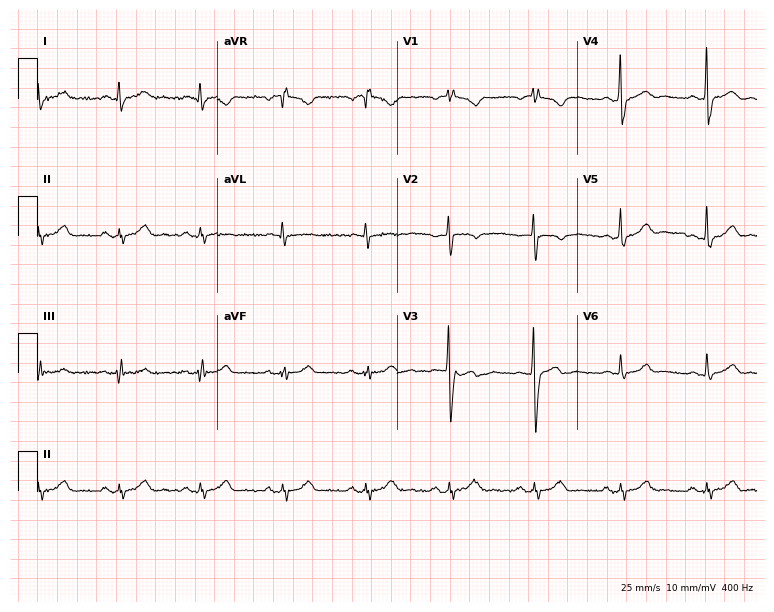
Standard 12-lead ECG recorded from a man, 22 years old (7.3-second recording at 400 Hz). None of these six findings is recorded: first-degree AV block, right bundle branch block, left bundle branch block, sinus bradycardia, atrial fibrillation, sinus tachycardia. Only these six findings were labelled.